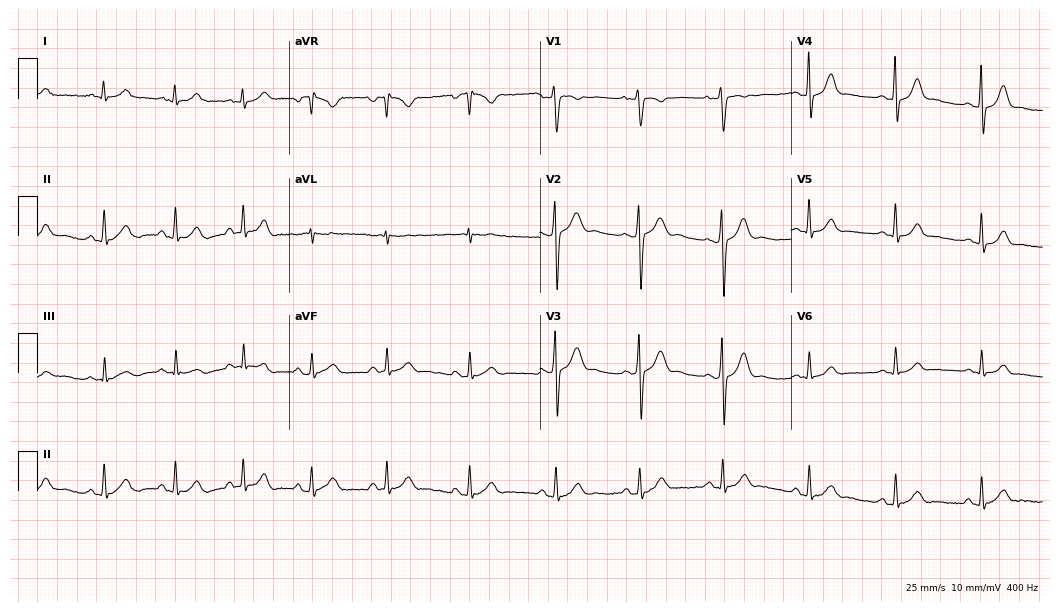
Electrocardiogram, a male, 24 years old. Overall reading on record: normal ECG.